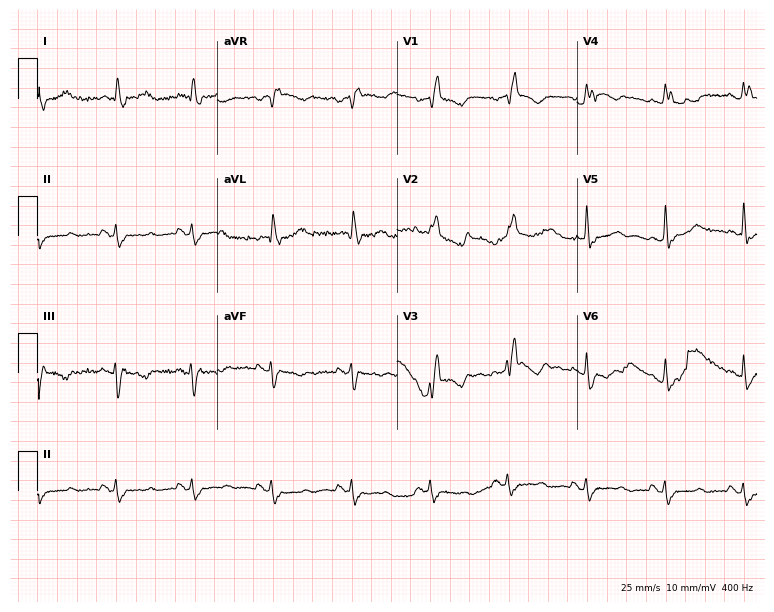
Resting 12-lead electrocardiogram (7.3-second recording at 400 Hz). Patient: an 81-year-old female. None of these six findings is recorded: first-degree AV block, right bundle branch block (RBBB), left bundle branch block (LBBB), sinus bradycardia, atrial fibrillation (AF), sinus tachycardia.